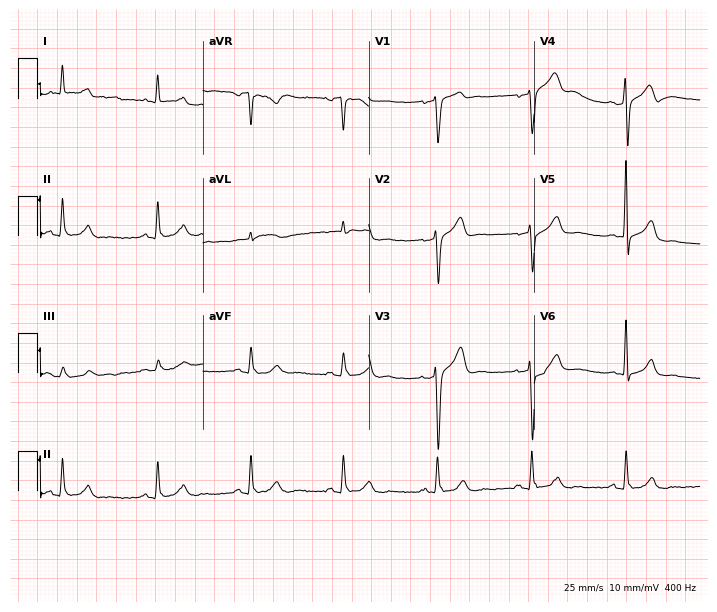
Standard 12-lead ECG recorded from a male, 60 years old (6.8-second recording at 400 Hz). Read as a normal ECG.